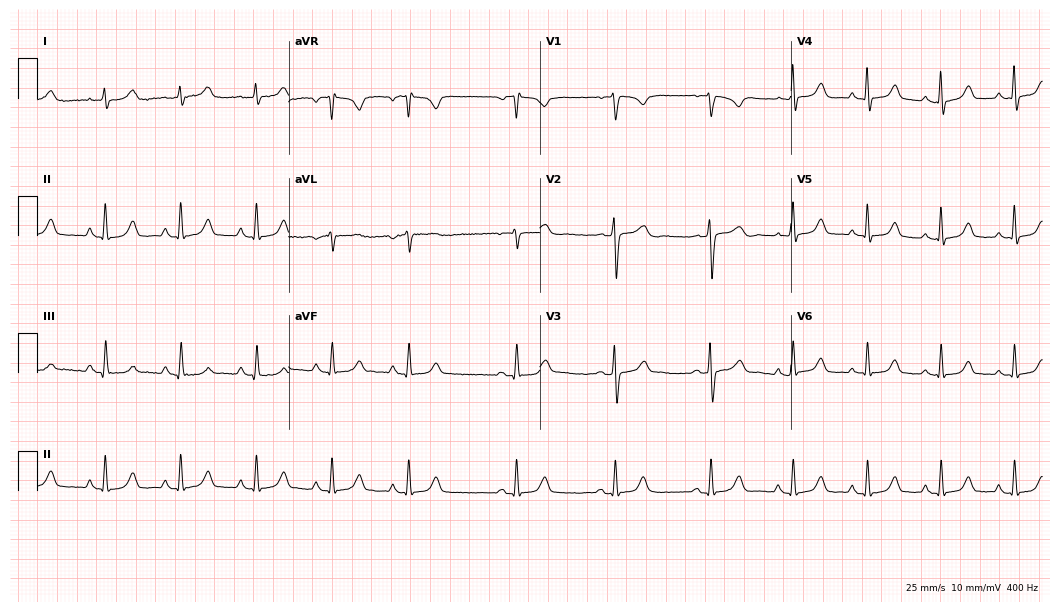
Standard 12-lead ECG recorded from a 42-year-old female patient (10.2-second recording at 400 Hz). None of these six findings is recorded: first-degree AV block, right bundle branch block, left bundle branch block, sinus bradycardia, atrial fibrillation, sinus tachycardia. Only these six findings were labelled.